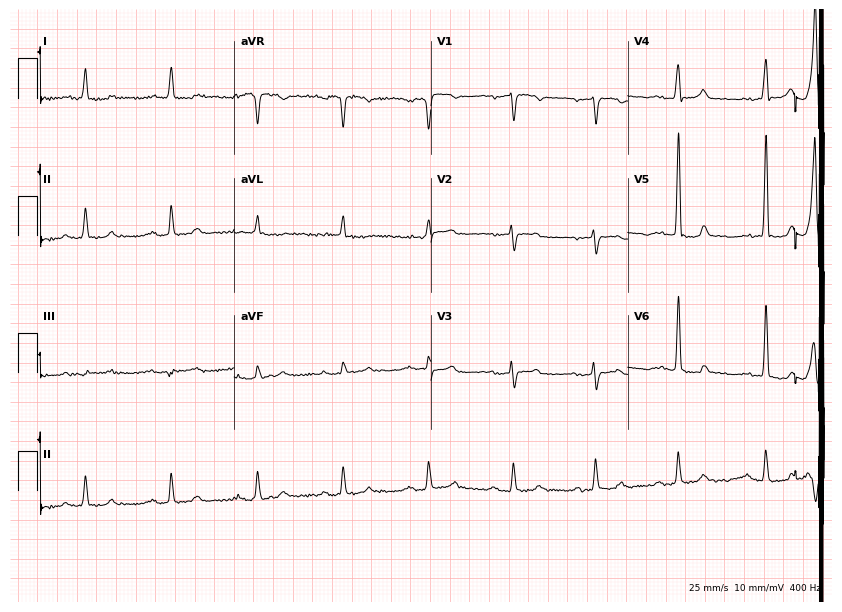
Resting 12-lead electrocardiogram. Patient: an 84-year-old female. The tracing shows first-degree AV block.